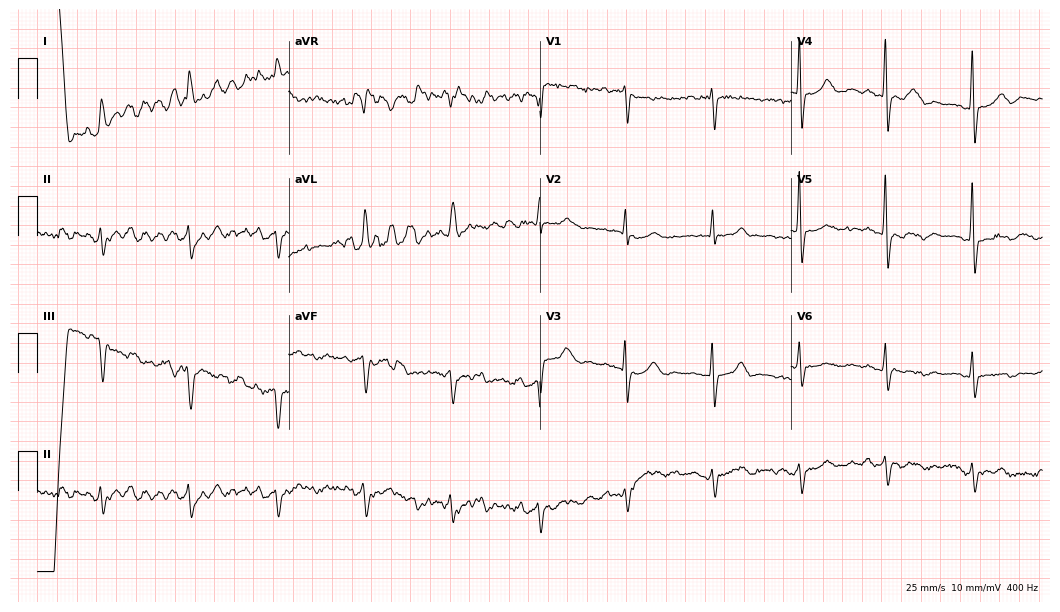
Electrocardiogram (10.2-second recording at 400 Hz), a female patient, 74 years old. Of the six screened findings (first-degree AV block, right bundle branch block, left bundle branch block, sinus bradycardia, atrial fibrillation, sinus tachycardia), none is recorded. Findings outside these six are not listed.